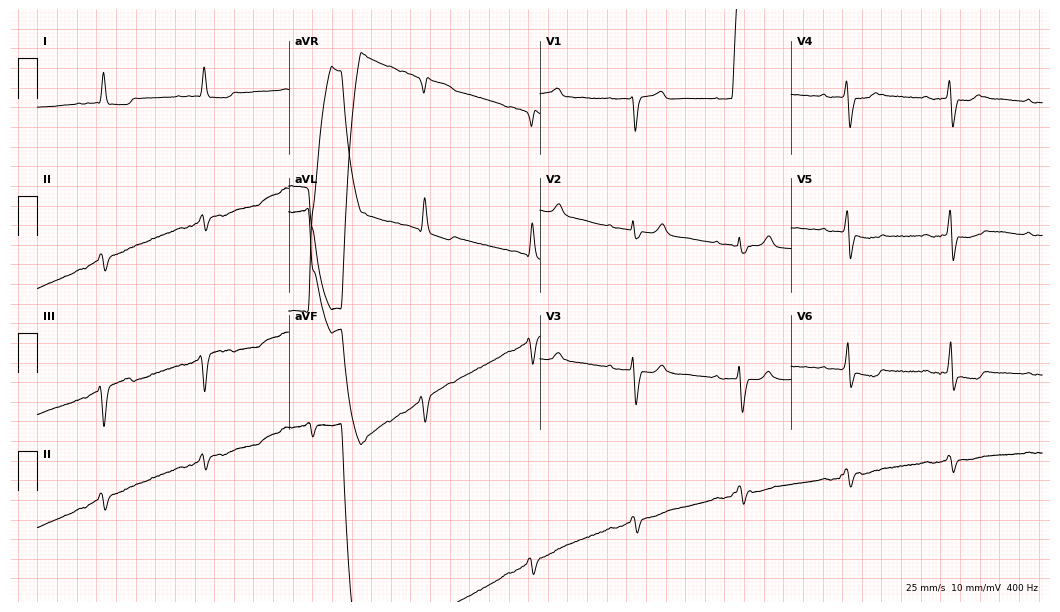
12-lead ECG from a man, 71 years old (10.2-second recording at 400 Hz). No first-degree AV block, right bundle branch block (RBBB), left bundle branch block (LBBB), sinus bradycardia, atrial fibrillation (AF) or sinus tachycardia recorded for this tracing.